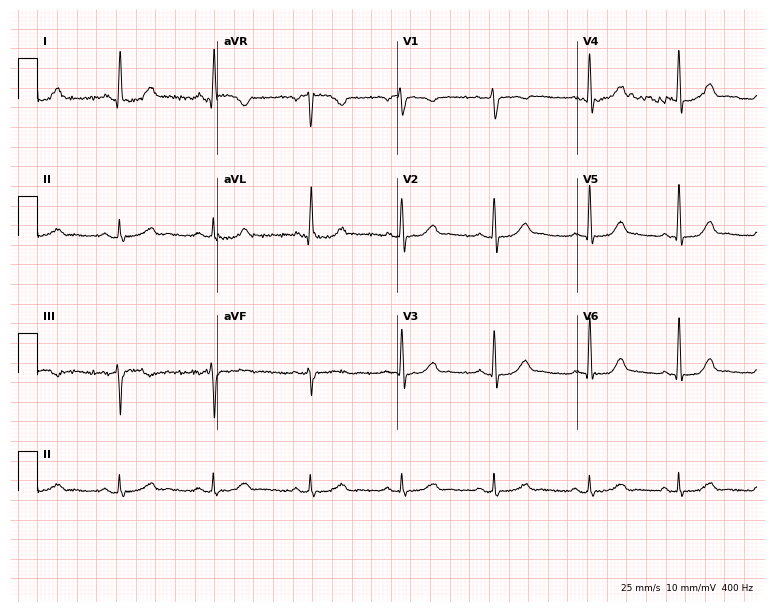
Resting 12-lead electrocardiogram (7.3-second recording at 400 Hz). Patient: a female, 47 years old. Read as a normal ECG.